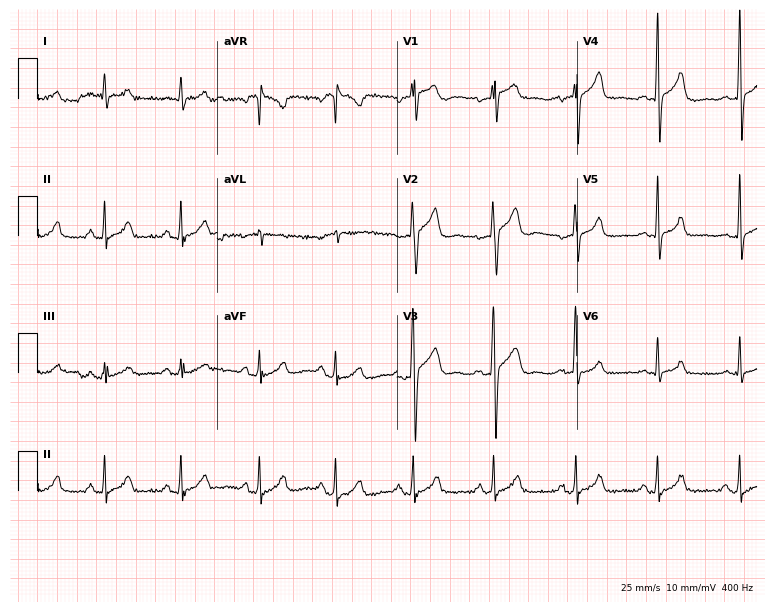
ECG (7.3-second recording at 400 Hz) — a 34-year-old male. Screened for six findings — first-degree AV block, right bundle branch block, left bundle branch block, sinus bradycardia, atrial fibrillation, sinus tachycardia — none is recorded. Findings outside these six are not listed.